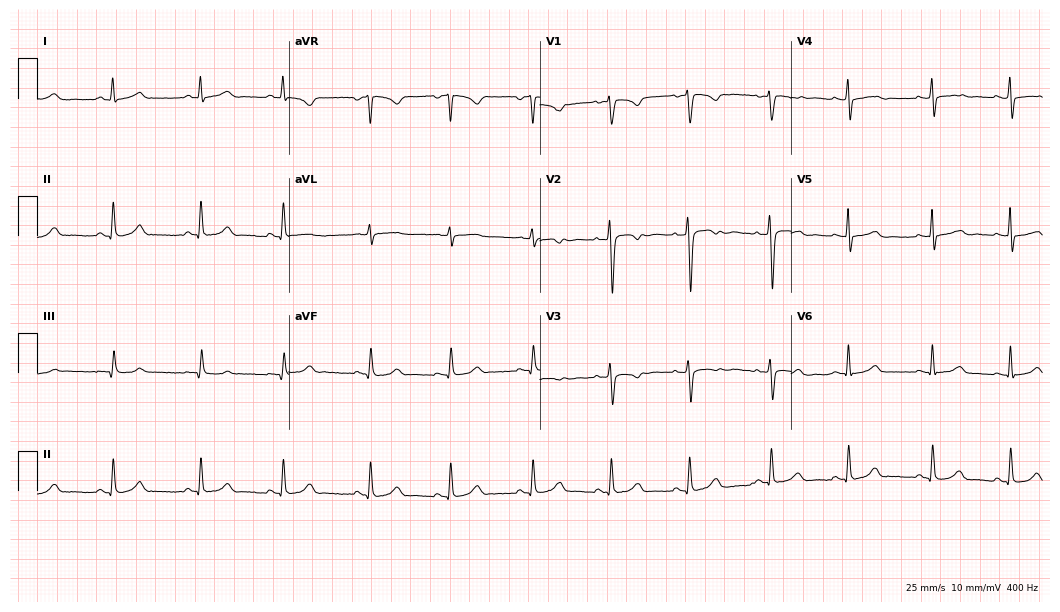
Electrocardiogram, a 31-year-old female. Of the six screened findings (first-degree AV block, right bundle branch block, left bundle branch block, sinus bradycardia, atrial fibrillation, sinus tachycardia), none is recorded. Other findings, if any, are not listed.